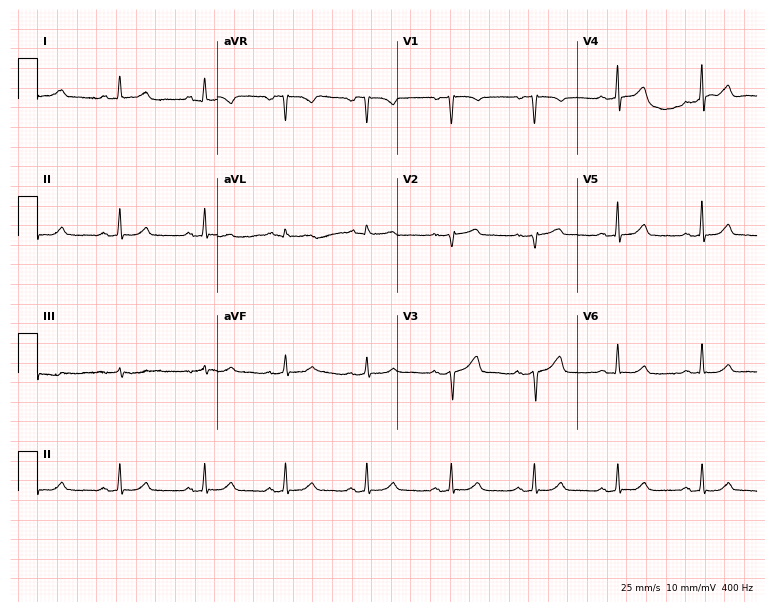
ECG (7.3-second recording at 400 Hz) — a female patient, 54 years old. Labelled as a normal ECG.